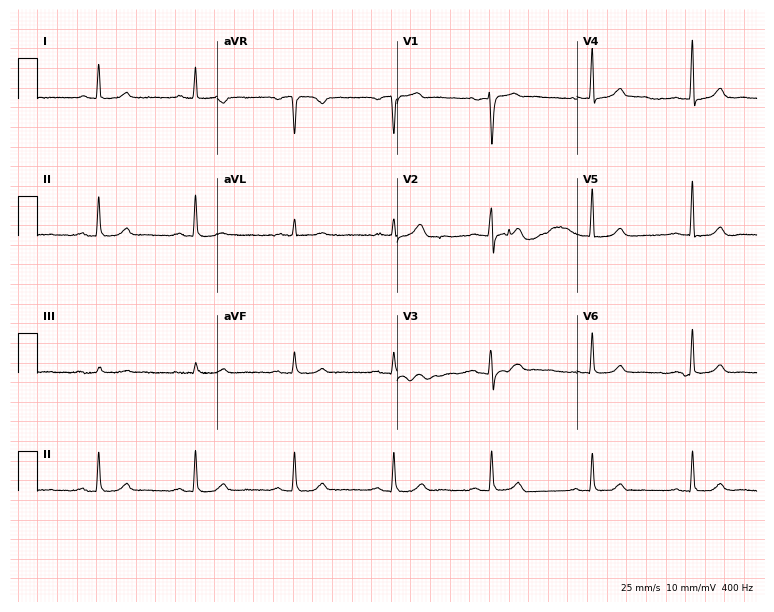
ECG (7.3-second recording at 400 Hz) — a female, 61 years old. Labelled as a normal ECG.